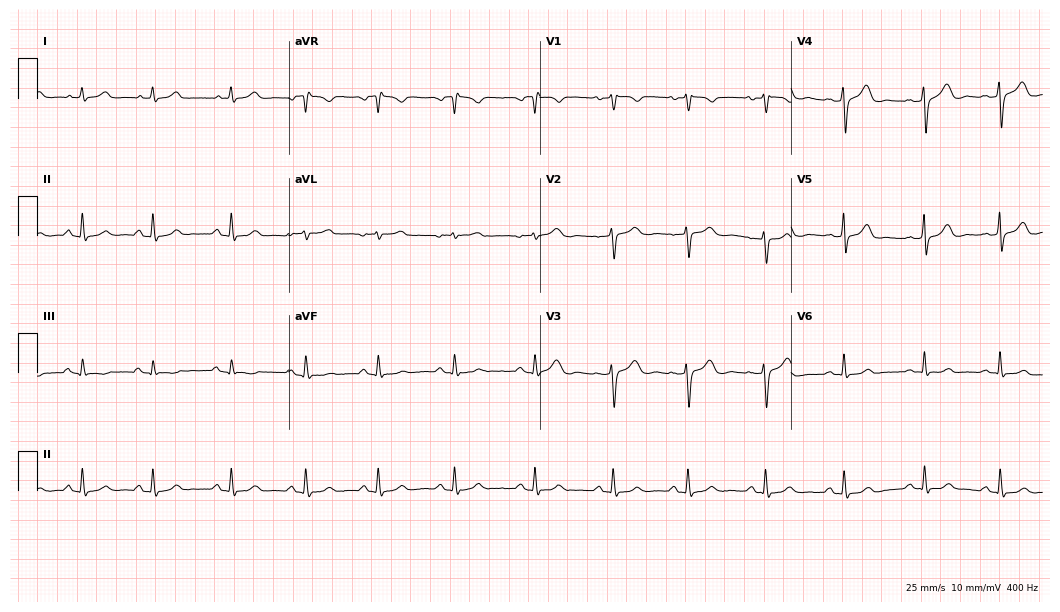
ECG (10.2-second recording at 400 Hz) — a female, 29 years old. Screened for six findings — first-degree AV block, right bundle branch block, left bundle branch block, sinus bradycardia, atrial fibrillation, sinus tachycardia — none is recorded. Only these six findings were labelled.